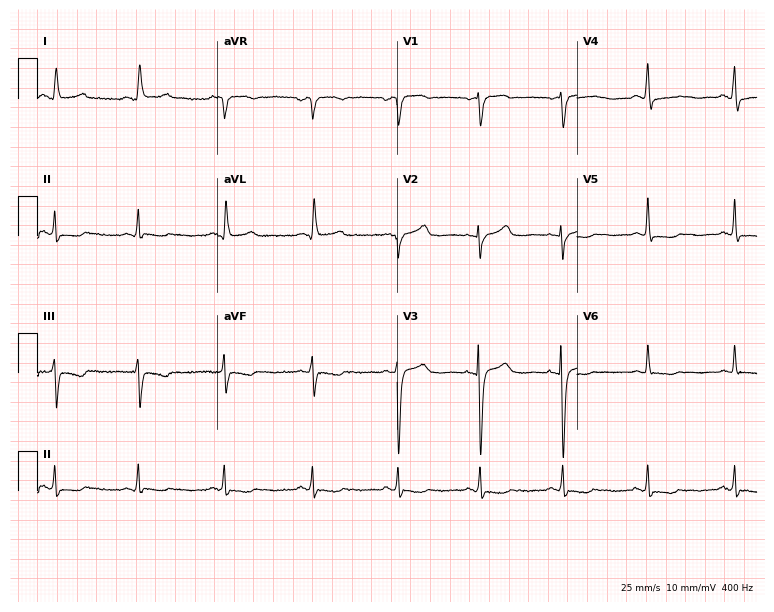
Electrocardiogram (7.3-second recording at 400 Hz), a woman, 68 years old. Of the six screened findings (first-degree AV block, right bundle branch block, left bundle branch block, sinus bradycardia, atrial fibrillation, sinus tachycardia), none is recorded. Only these six findings were labelled.